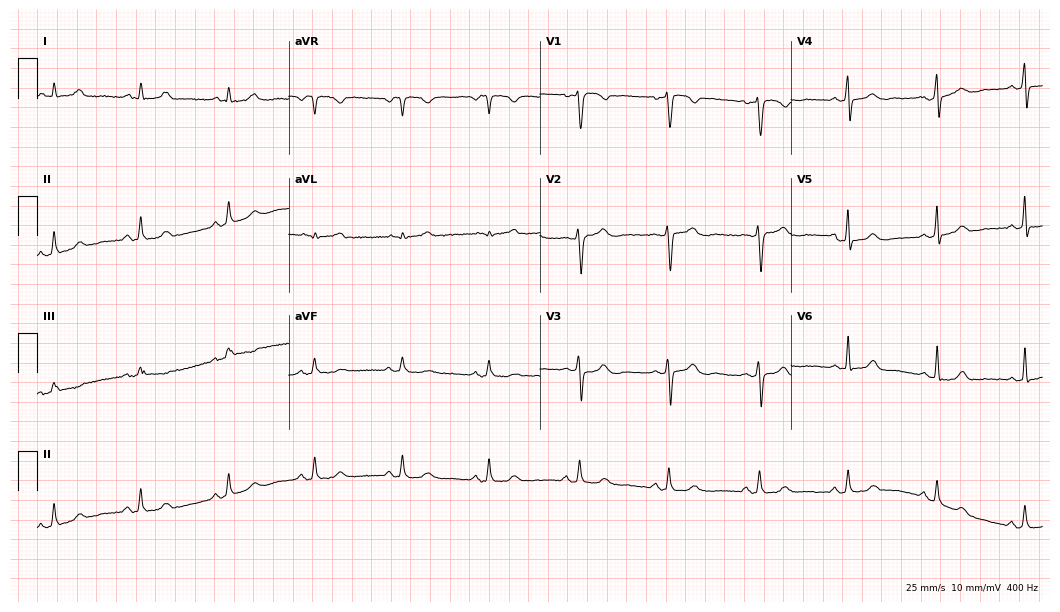
ECG (10.2-second recording at 400 Hz) — a female patient, 43 years old. Labelled as a normal ECG.